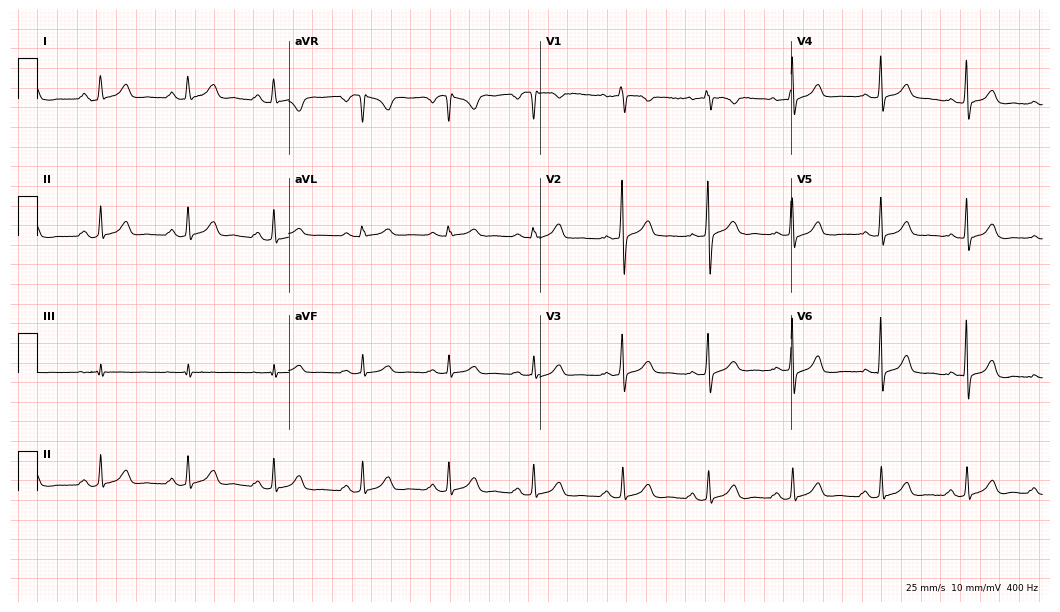
Resting 12-lead electrocardiogram (10.2-second recording at 400 Hz). Patient: a woman, 39 years old. Read as a normal ECG.